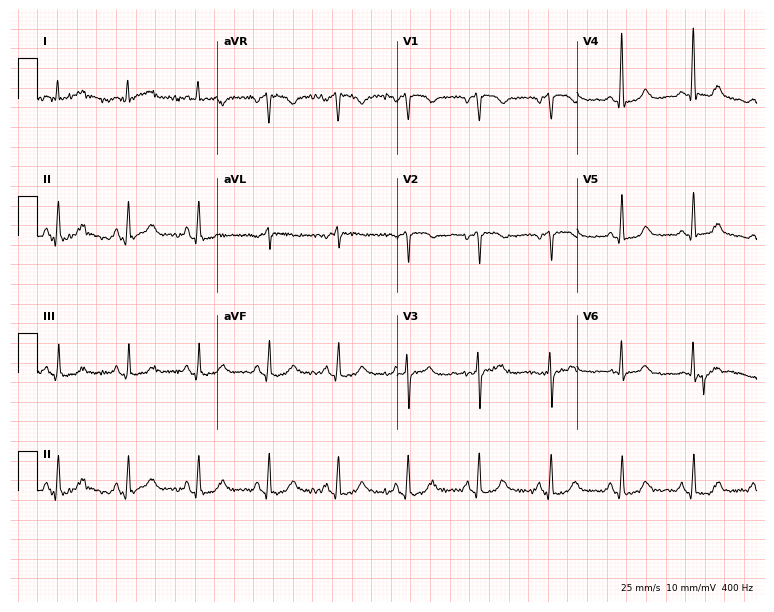
Electrocardiogram, a 69-year-old female patient. Overall reading on record: normal ECG.